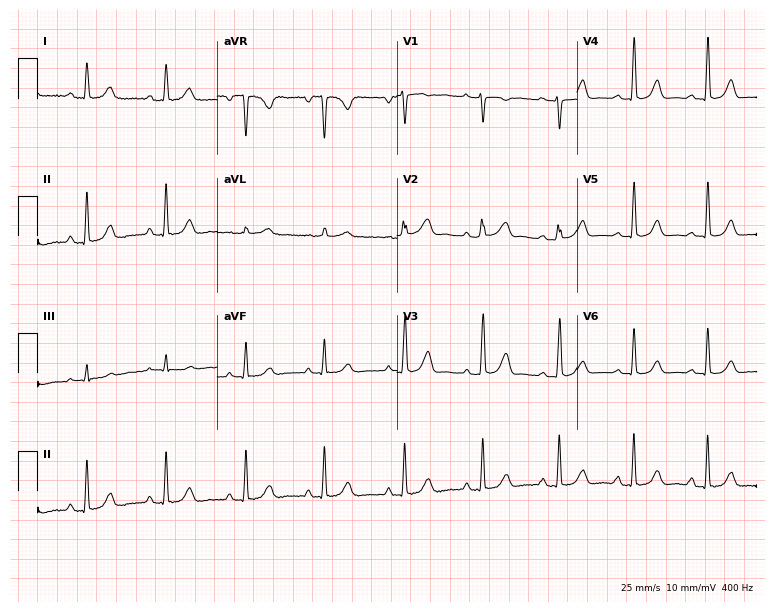
12-lead ECG from a female, 35 years old (7.3-second recording at 400 Hz). No first-degree AV block, right bundle branch block, left bundle branch block, sinus bradycardia, atrial fibrillation or sinus tachycardia recorded for this tracing.